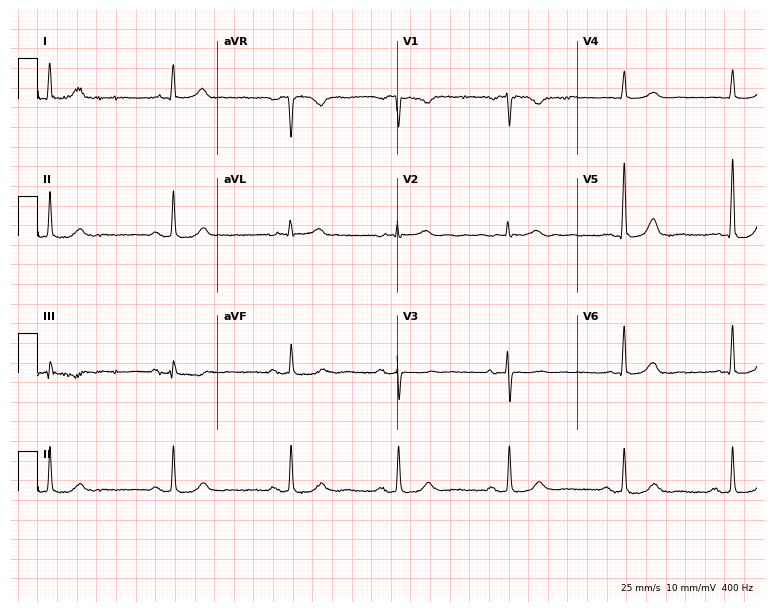
Standard 12-lead ECG recorded from a 73-year-old female patient. Read as a normal ECG.